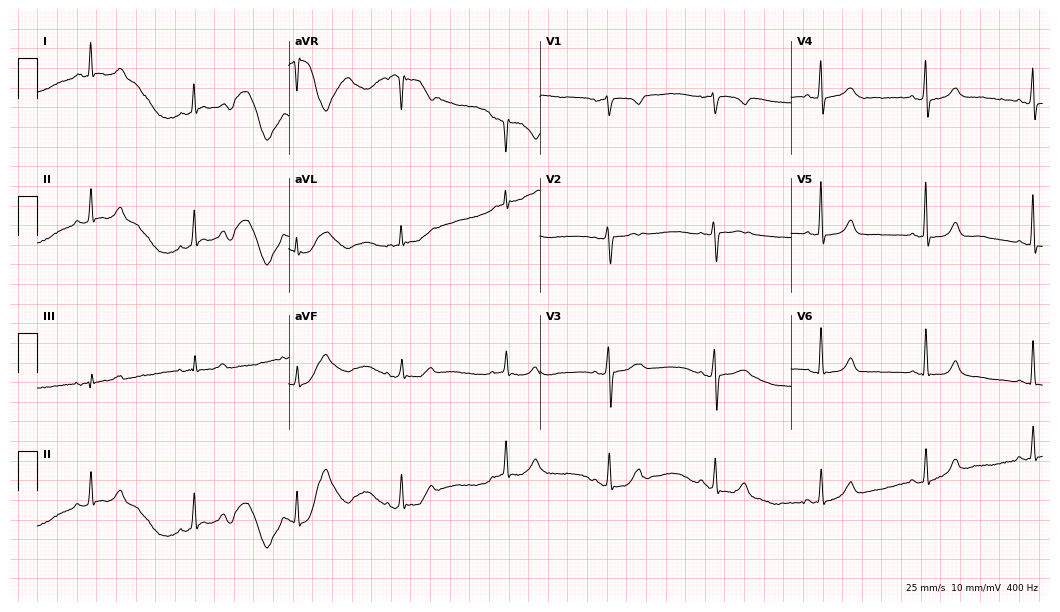
Standard 12-lead ECG recorded from a 67-year-old woman. Read as a normal ECG.